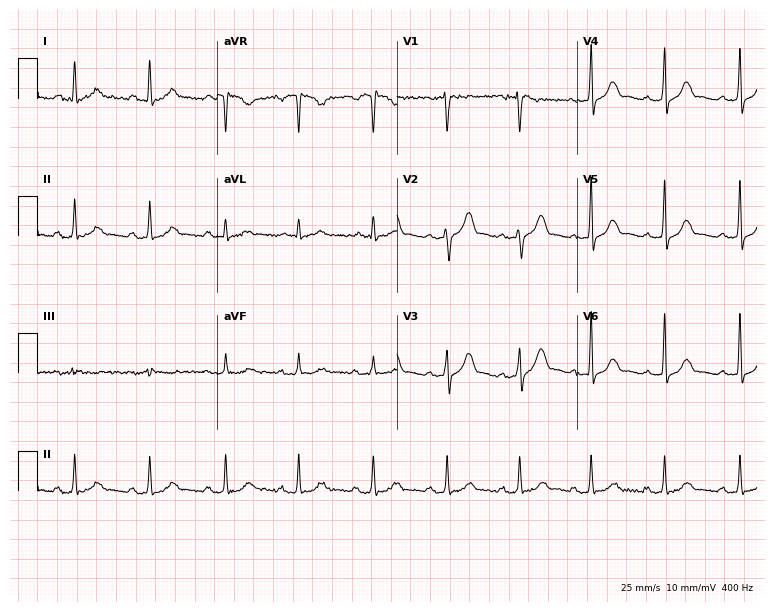
Resting 12-lead electrocardiogram (7.3-second recording at 400 Hz). Patient: a 50-year-old male. None of these six findings is recorded: first-degree AV block, right bundle branch block, left bundle branch block, sinus bradycardia, atrial fibrillation, sinus tachycardia.